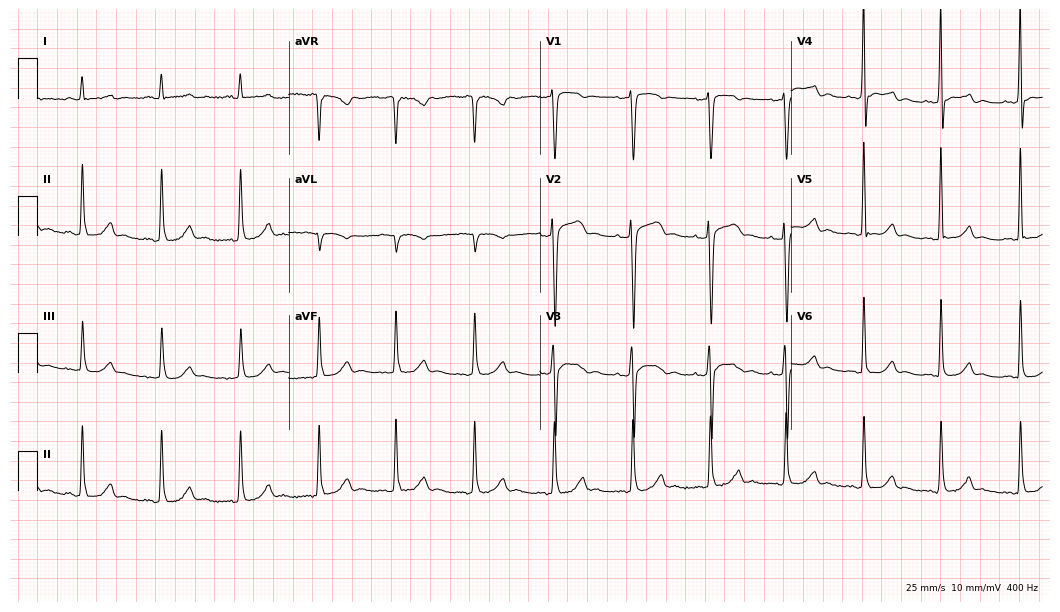
Standard 12-lead ECG recorded from a male patient, 40 years old (10.2-second recording at 400 Hz). Read as a normal ECG.